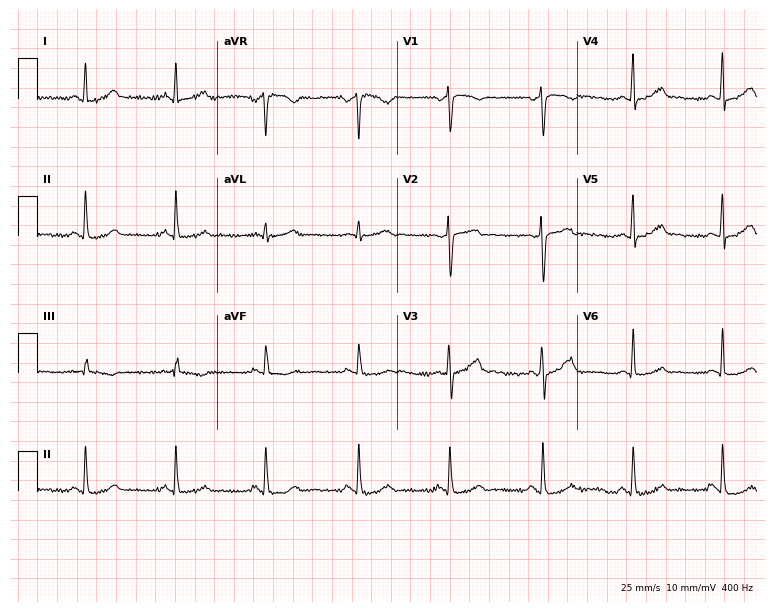
12-lead ECG from a woman, 33 years old. Labelled as a normal ECG.